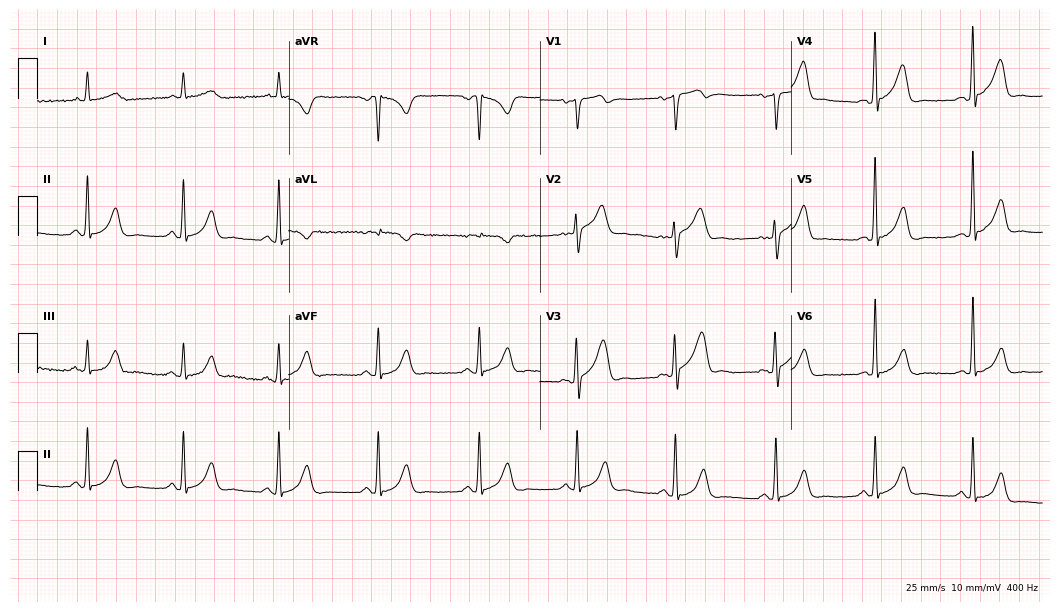
Standard 12-lead ECG recorded from a male, 67 years old. Read as a normal ECG.